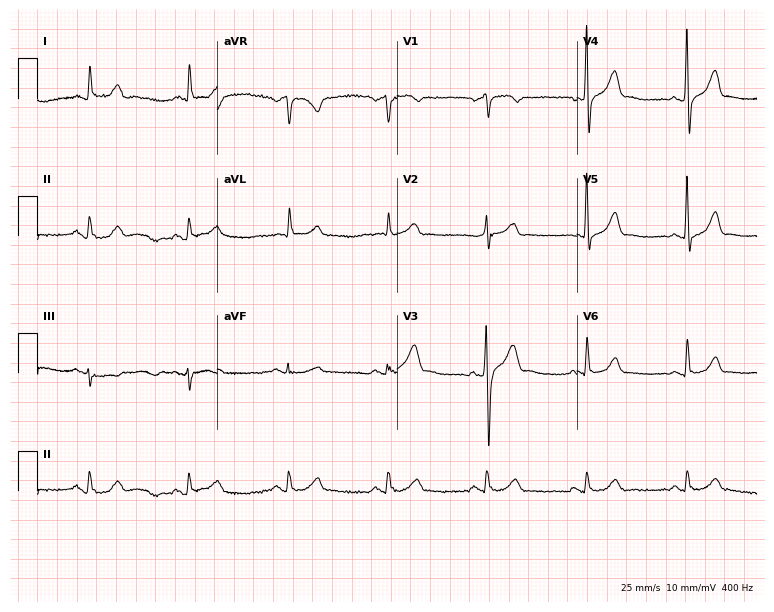
12-lead ECG from a 57-year-old man. Labelled as a normal ECG.